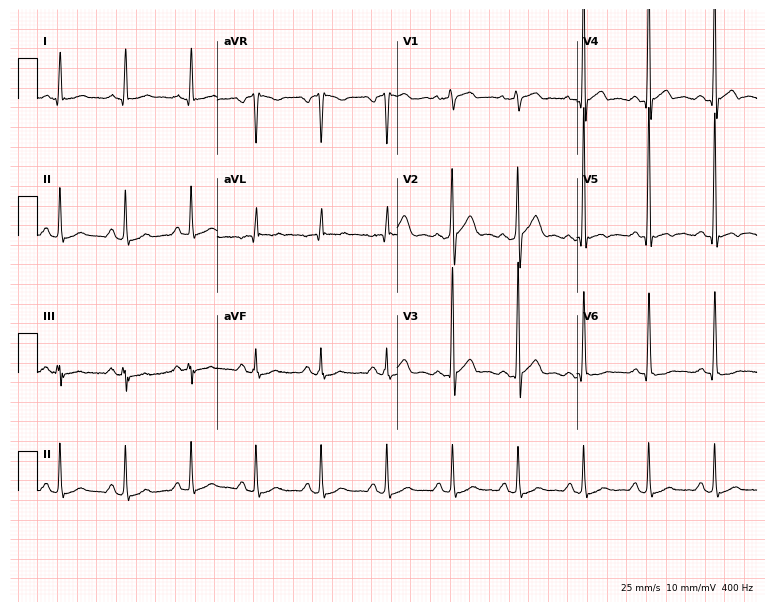
12-lead ECG from a 44-year-old man (7.3-second recording at 400 Hz). No first-degree AV block, right bundle branch block (RBBB), left bundle branch block (LBBB), sinus bradycardia, atrial fibrillation (AF) or sinus tachycardia recorded for this tracing. Only these six findings were labelled.